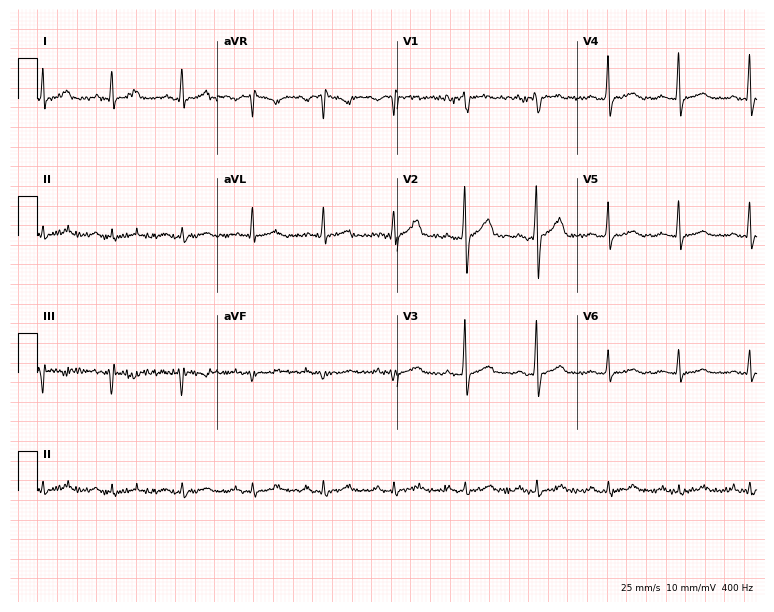
Resting 12-lead electrocardiogram (7.3-second recording at 400 Hz). Patient: a 32-year-old male. Read as a normal ECG.